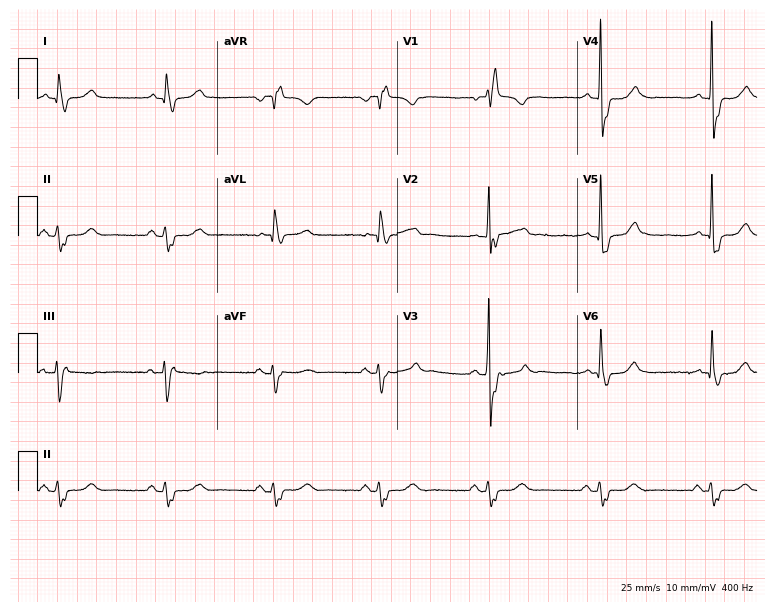
ECG (7.3-second recording at 400 Hz) — a male patient, 64 years old. Findings include right bundle branch block (RBBB).